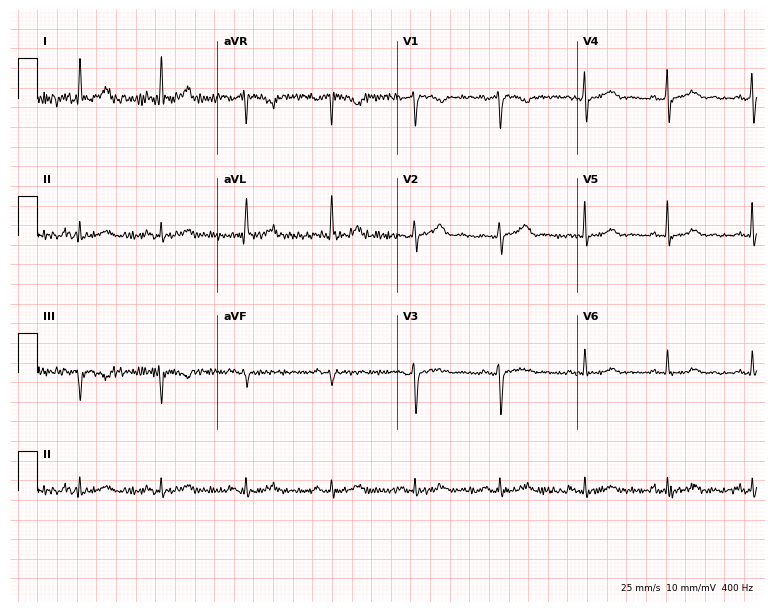
Resting 12-lead electrocardiogram. Patient: a female, 46 years old. None of these six findings is recorded: first-degree AV block, right bundle branch block (RBBB), left bundle branch block (LBBB), sinus bradycardia, atrial fibrillation (AF), sinus tachycardia.